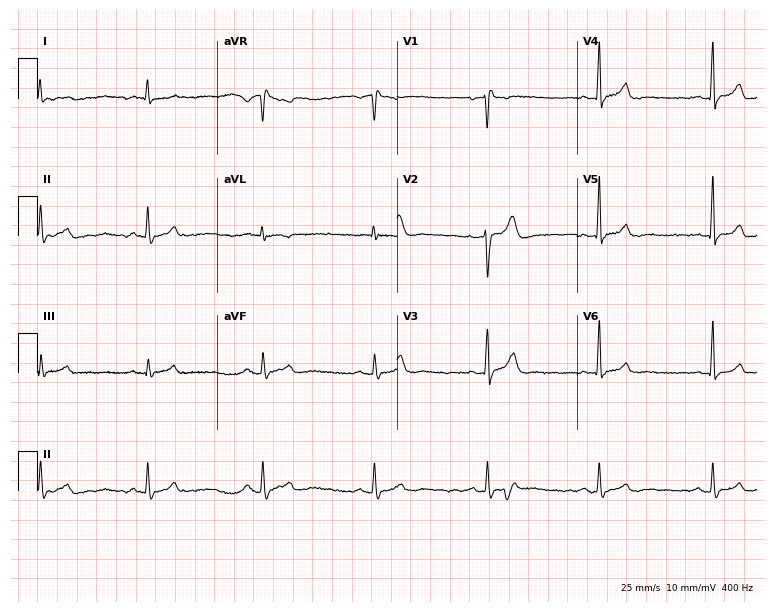
ECG (7.3-second recording at 400 Hz) — a man, 33 years old. Screened for six findings — first-degree AV block, right bundle branch block, left bundle branch block, sinus bradycardia, atrial fibrillation, sinus tachycardia — none is recorded. Only these six findings were labelled.